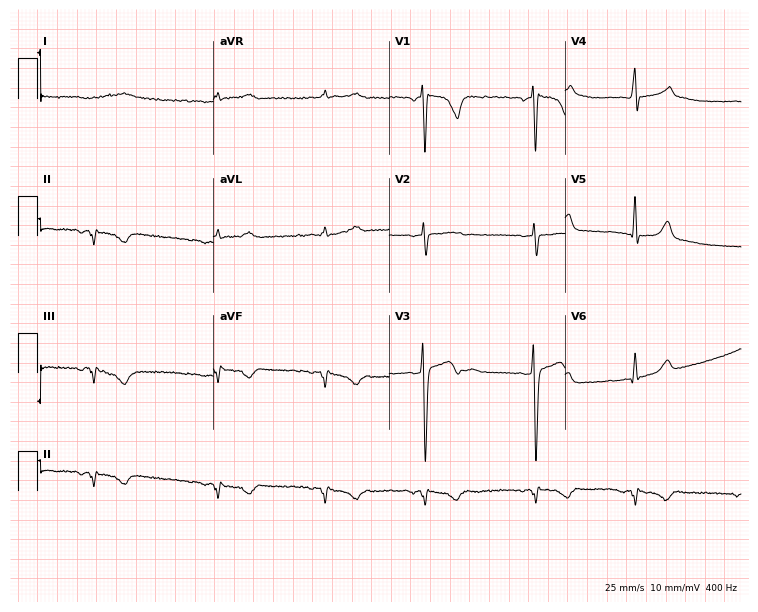
ECG (7.2-second recording at 400 Hz) — a woman, 22 years old. Screened for six findings — first-degree AV block, right bundle branch block (RBBB), left bundle branch block (LBBB), sinus bradycardia, atrial fibrillation (AF), sinus tachycardia — none is recorded.